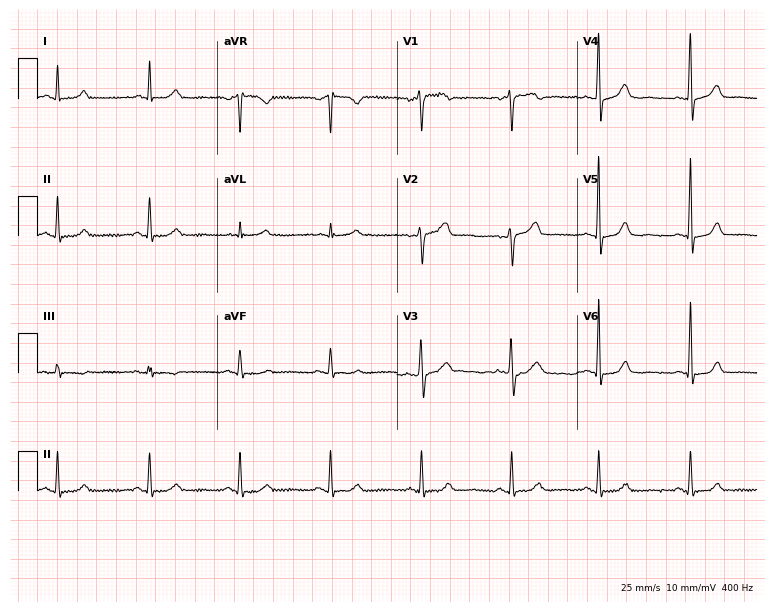
12-lead ECG (7.3-second recording at 400 Hz) from a 49-year-old female. Labelled as a normal ECG.